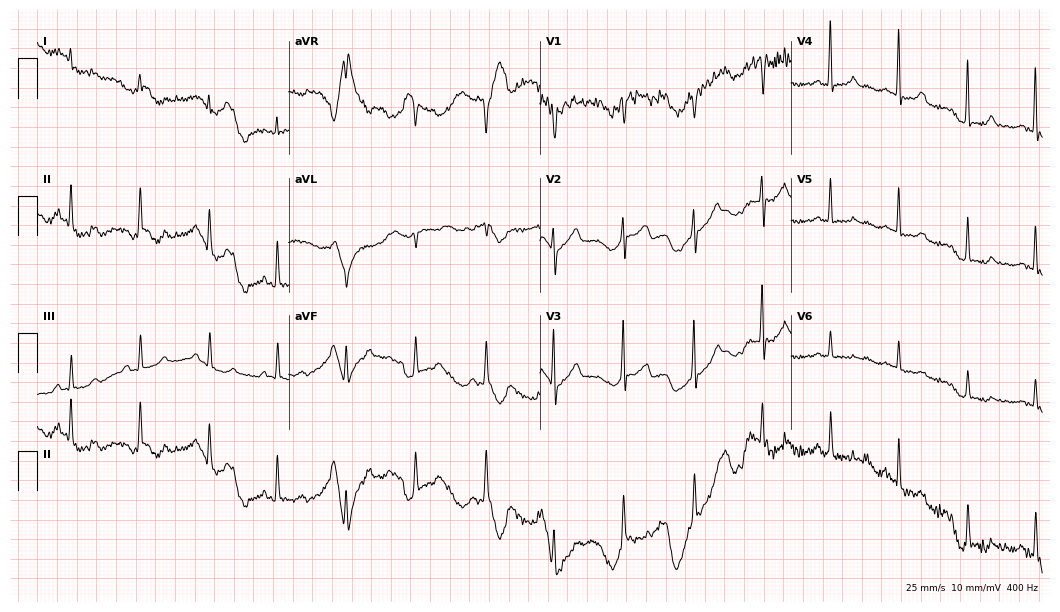
Resting 12-lead electrocardiogram (10.2-second recording at 400 Hz). Patient: a male, 64 years old. None of these six findings is recorded: first-degree AV block, right bundle branch block, left bundle branch block, sinus bradycardia, atrial fibrillation, sinus tachycardia. Findings outside these six are not listed.